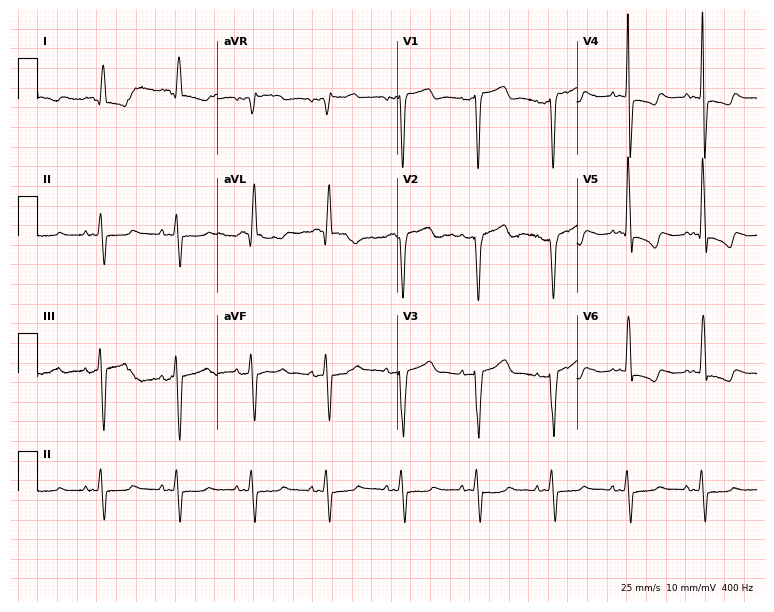
12-lead ECG from a 73-year-old man. No first-degree AV block, right bundle branch block, left bundle branch block, sinus bradycardia, atrial fibrillation or sinus tachycardia recorded for this tracing.